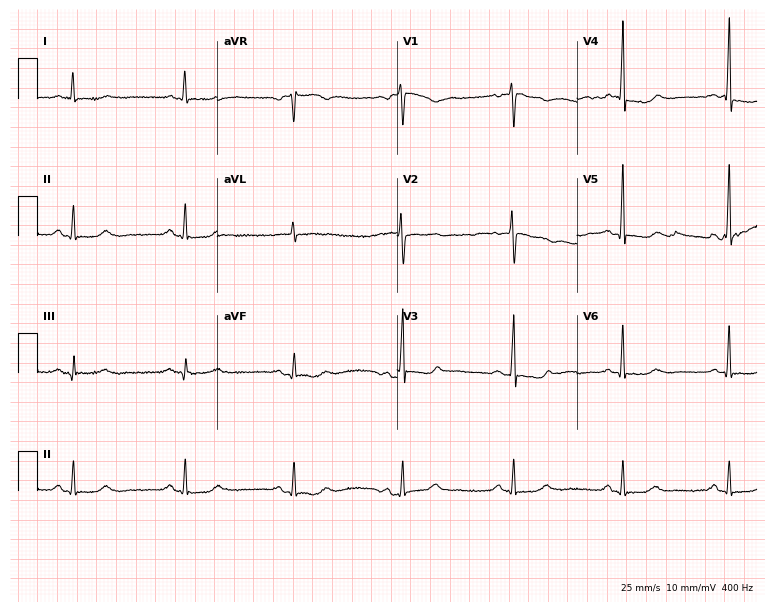
Electrocardiogram (7.3-second recording at 400 Hz), a 52-year-old woman. Of the six screened findings (first-degree AV block, right bundle branch block, left bundle branch block, sinus bradycardia, atrial fibrillation, sinus tachycardia), none is recorded. Findings outside these six are not listed.